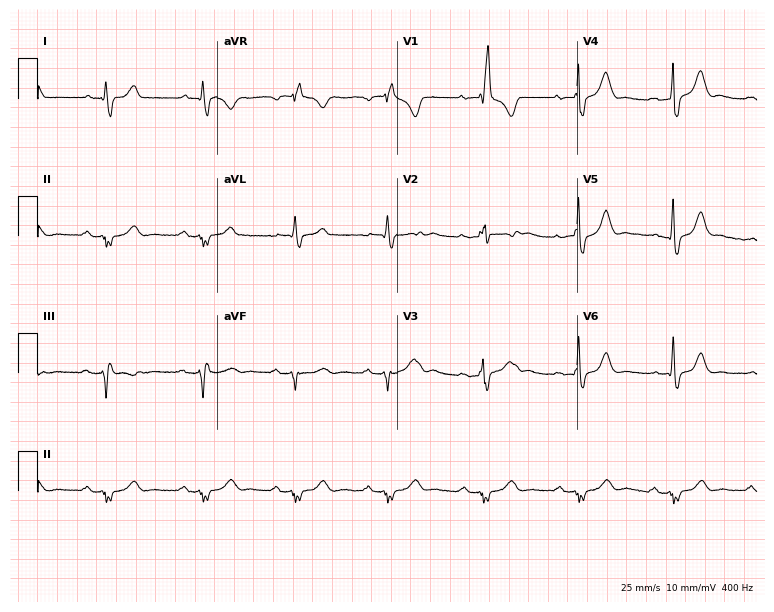
12-lead ECG from a 63-year-old man. Findings include right bundle branch block.